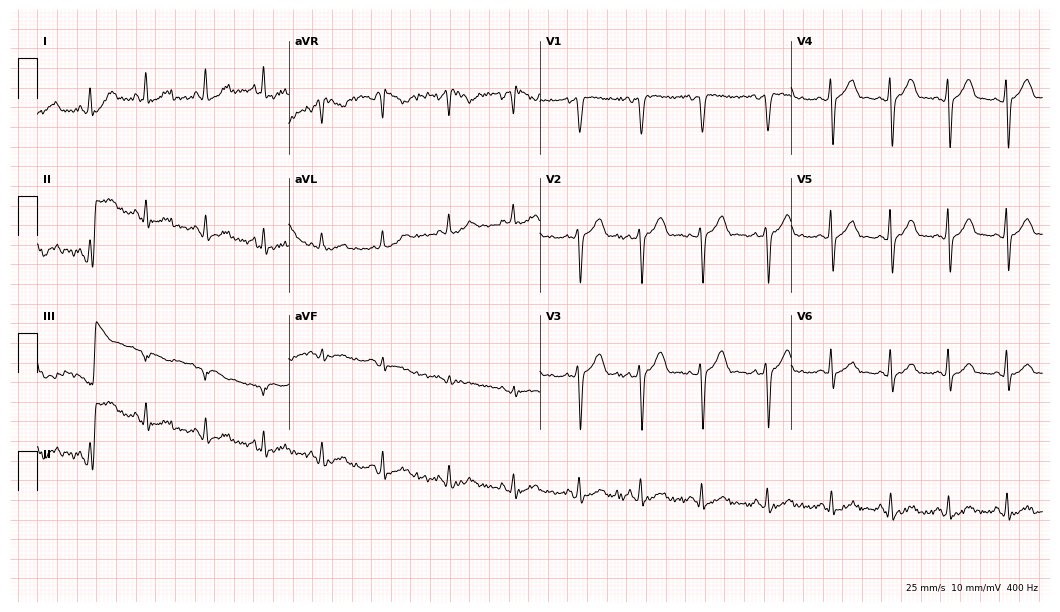
Standard 12-lead ECG recorded from a man, 53 years old. Read as a normal ECG.